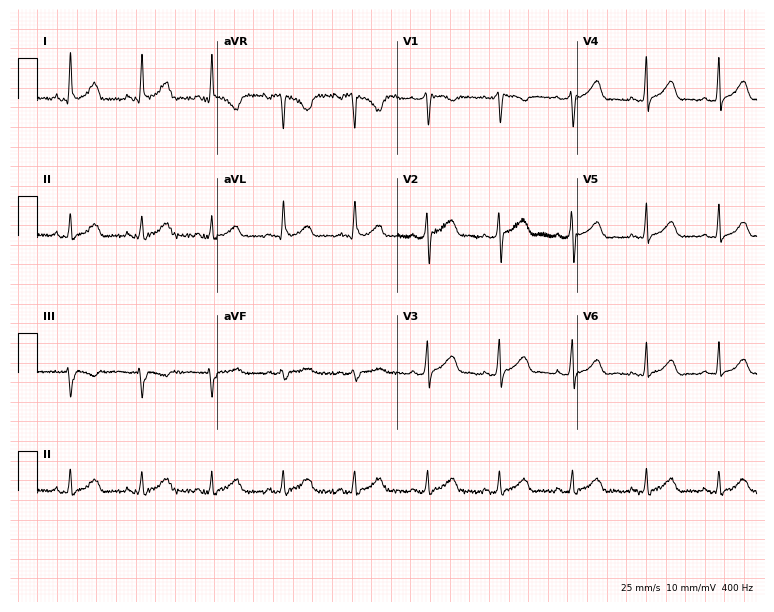
Resting 12-lead electrocardiogram. Patient: a 29-year-old female. Read as a normal ECG.